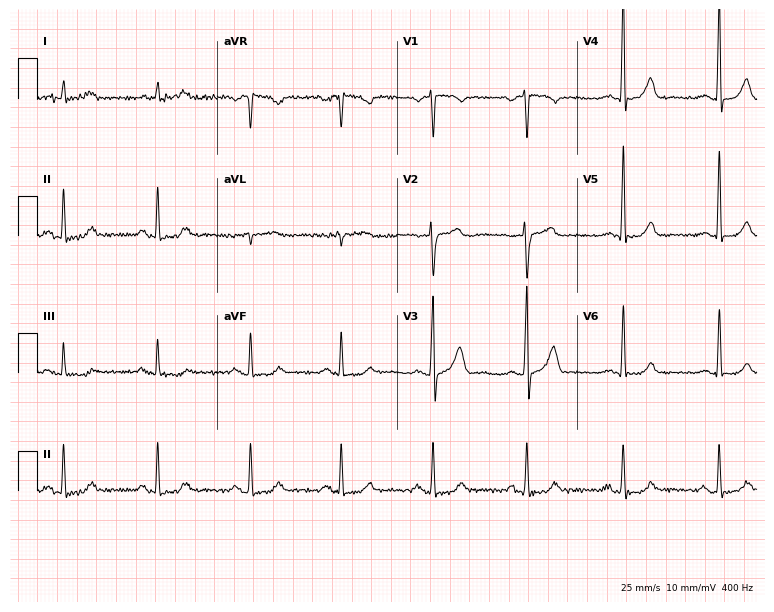
12-lead ECG from a male patient, 43 years old. Screened for six findings — first-degree AV block, right bundle branch block, left bundle branch block, sinus bradycardia, atrial fibrillation, sinus tachycardia — none is recorded.